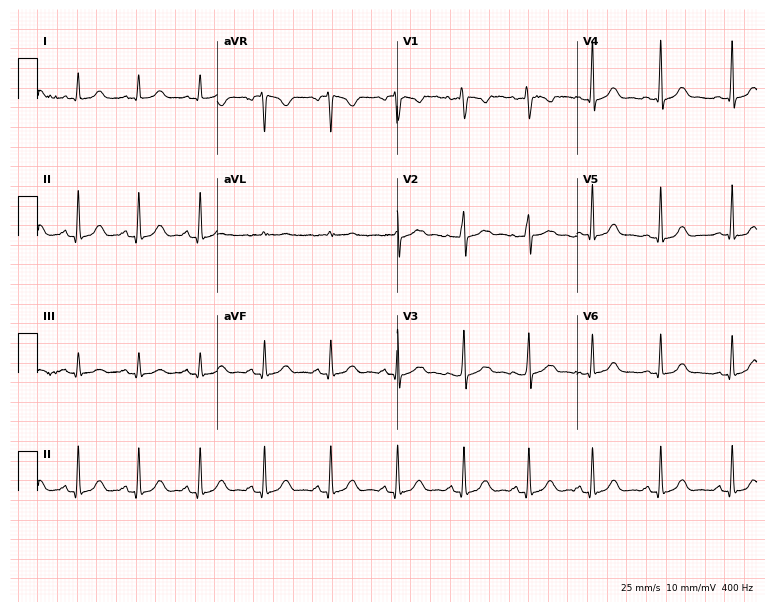
ECG — a female patient, 37 years old. Labelled as a normal ECG.